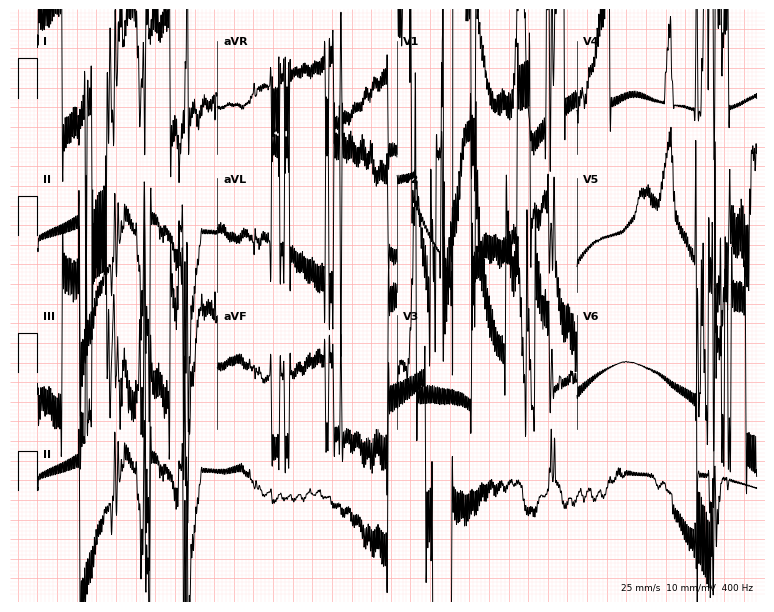
ECG (7.3-second recording at 400 Hz) — a 76-year-old male patient. Screened for six findings — first-degree AV block, right bundle branch block, left bundle branch block, sinus bradycardia, atrial fibrillation, sinus tachycardia — none is recorded. Other findings, if any, are not listed.